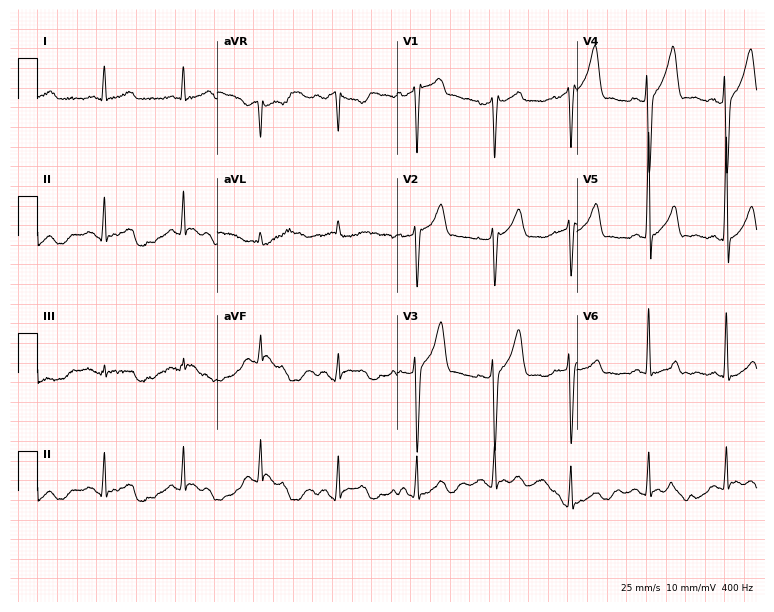
Resting 12-lead electrocardiogram. Patient: a male, 45 years old. Read as a normal ECG.